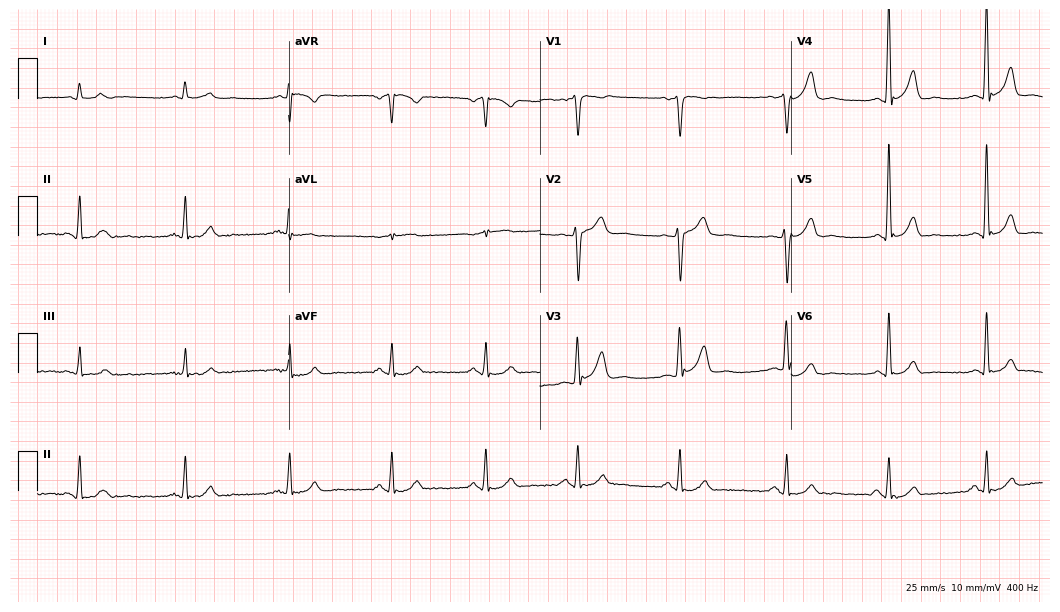
Standard 12-lead ECG recorded from a man, 50 years old. None of these six findings is recorded: first-degree AV block, right bundle branch block, left bundle branch block, sinus bradycardia, atrial fibrillation, sinus tachycardia. Only these six findings were labelled.